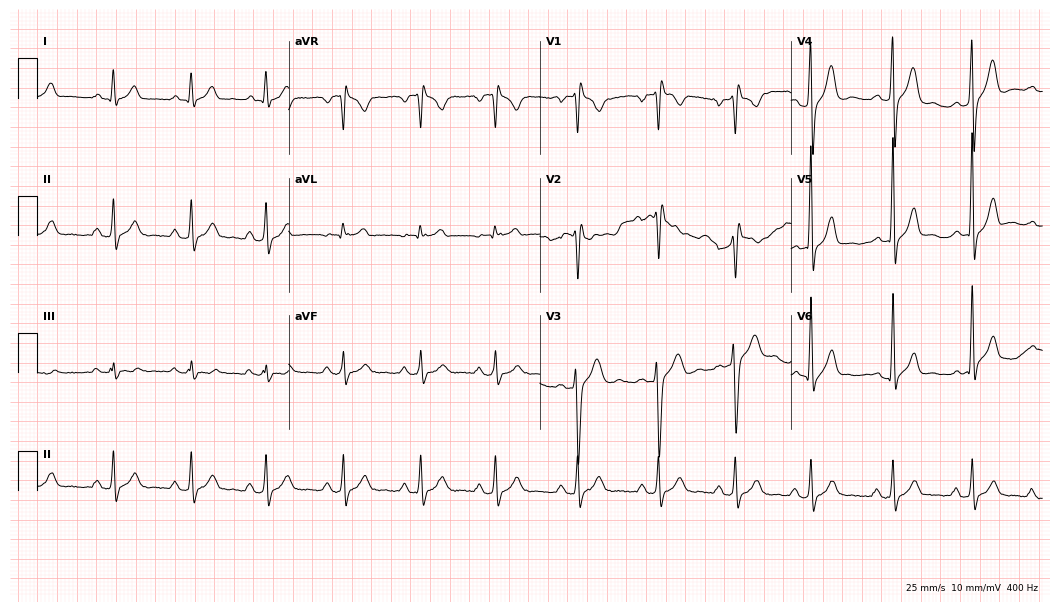
Electrocardiogram, a male, 22 years old. Of the six screened findings (first-degree AV block, right bundle branch block, left bundle branch block, sinus bradycardia, atrial fibrillation, sinus tachycardia), none is recorded. Only these six findings were labelled.